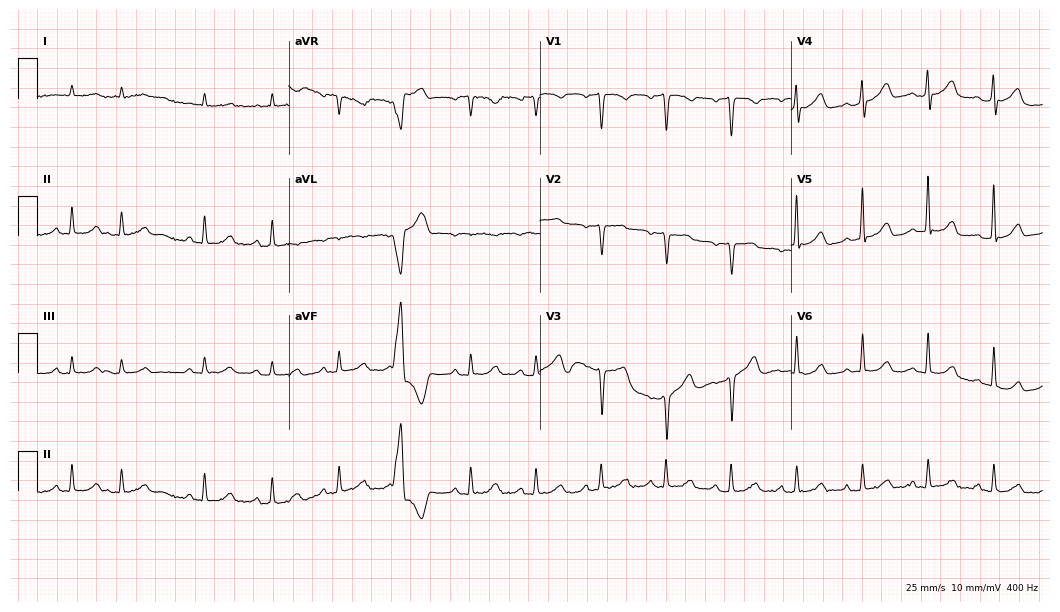
Electrocardiogram (10.2-second recording at 400 Hz), a 55-year-old male. Of the six screened findings (first-degree AV block, right bundle branch block, left bundle branch block, sinus bradycardia, atrial fibrillation, sinus tachycardia), none is recorded.